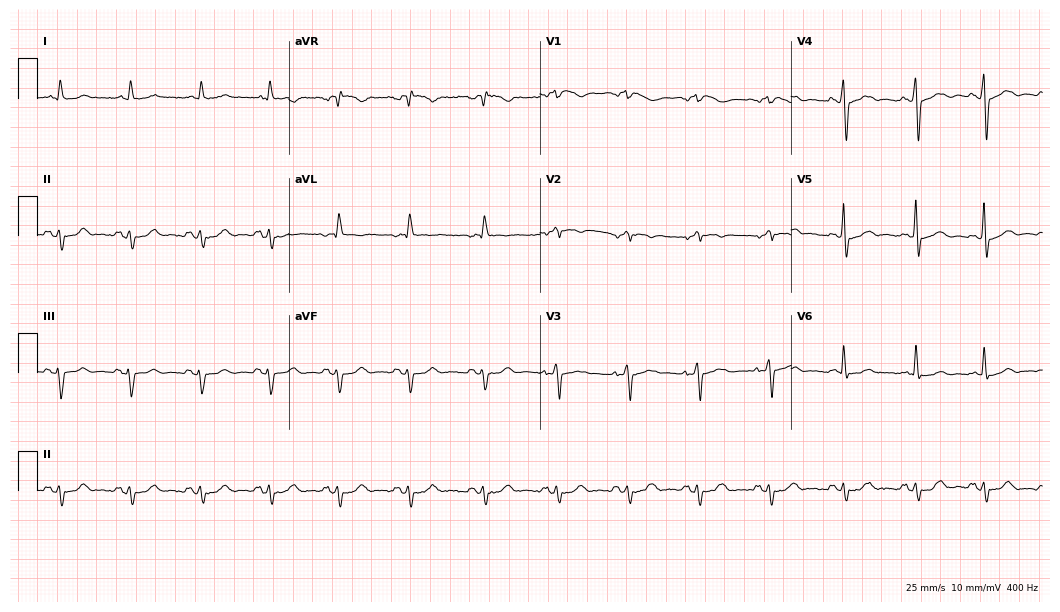
12-lead ECG from a male patient, 71 years old (10.2-second recording at 400 Hz). No first-degree AV block, right bundle branch block, left bundle branch block, sinus bradycardia, atrial fibrillation or sinus tachycardia recorded for this tracing. Only these six findings were labelled.